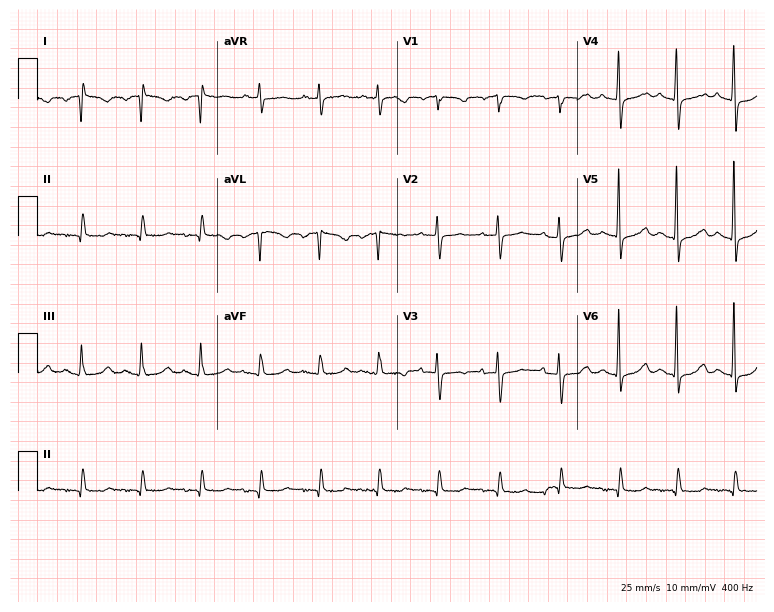
12-lead ECG (7.3-second recording at 400 Hz) from a woman, 79 years old. Screened for six findings — first-degree AV block, right bundle branch block, left bundle branch block, sinus bradycardia, atrial fibrillation, sinus tachycardia — none is recorded. Other findings, if any, are not listed.